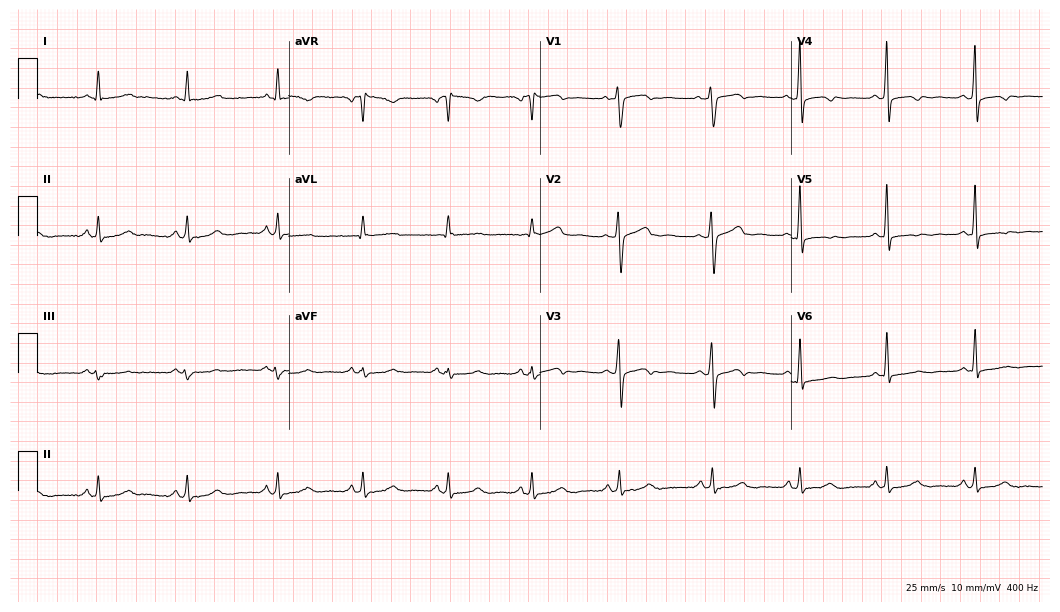
12-lead ECG (10.2-second recording at 400 Hz) from a 50-year-old female. Screened for six findings — first-degree AV block, right bundle branch block, left bundle branch block, sinus bradycardia, atrial fibrillation, sinus tachycardia — none is recorded.